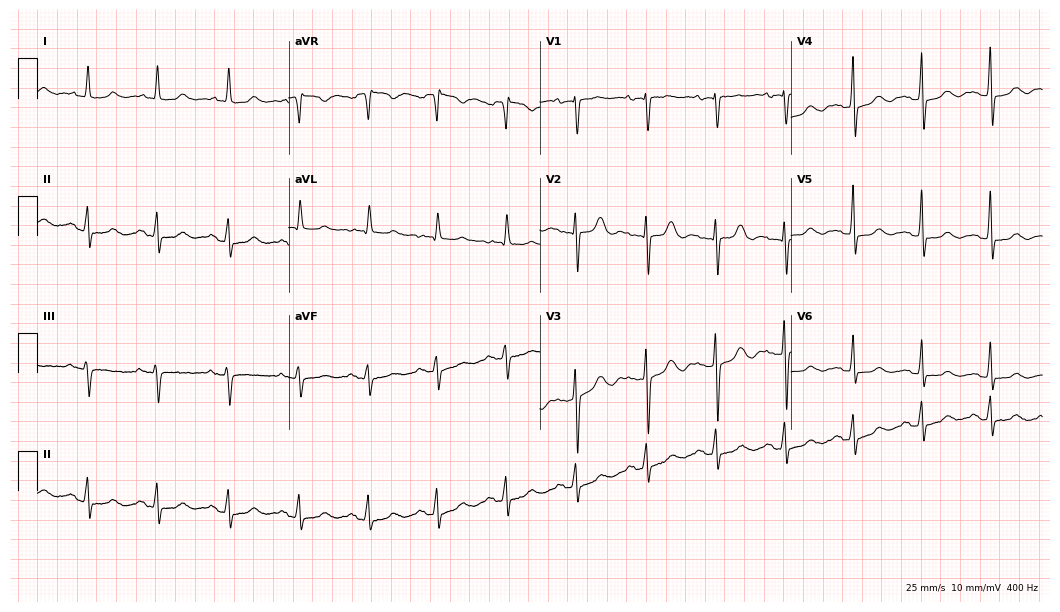
ECG (10.2-second recording at 400 Hz) — a woman, 74 years old. Screened for six findings — first-degree AV block, right bundle branch block, left bundle branch block, sinus bradycardia, atrial fibrillation, sinus tachycardia — none is recorded.